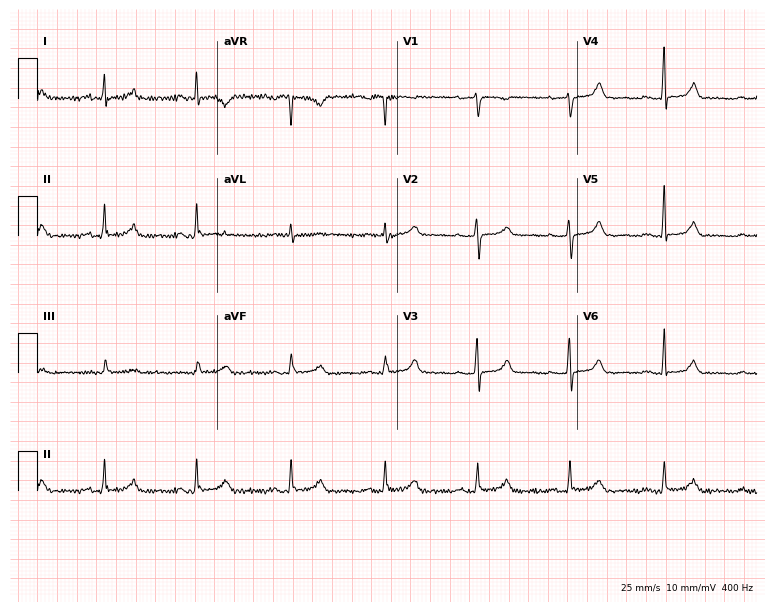
12-lead ECG from a female, 63 years old. Labelled as a normal ECG.